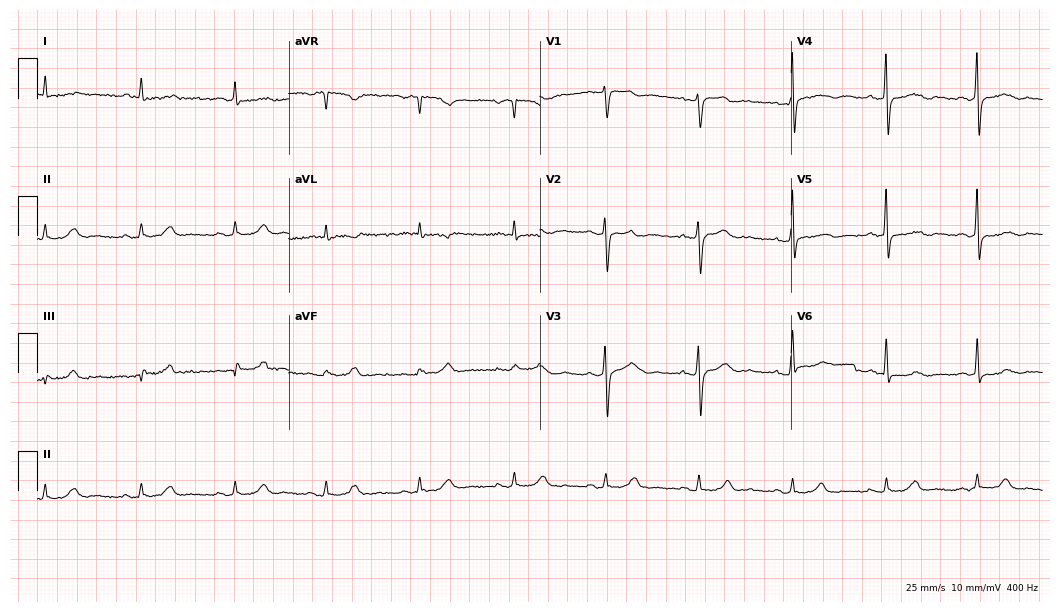
ECG — a male patient, 72 years old. Screened for six findings — first-degree AV block, right bundle branch block, left bundle branch block, sinus bradycardia, atrial fibrillation, sinus tachycardia — none is recorded.